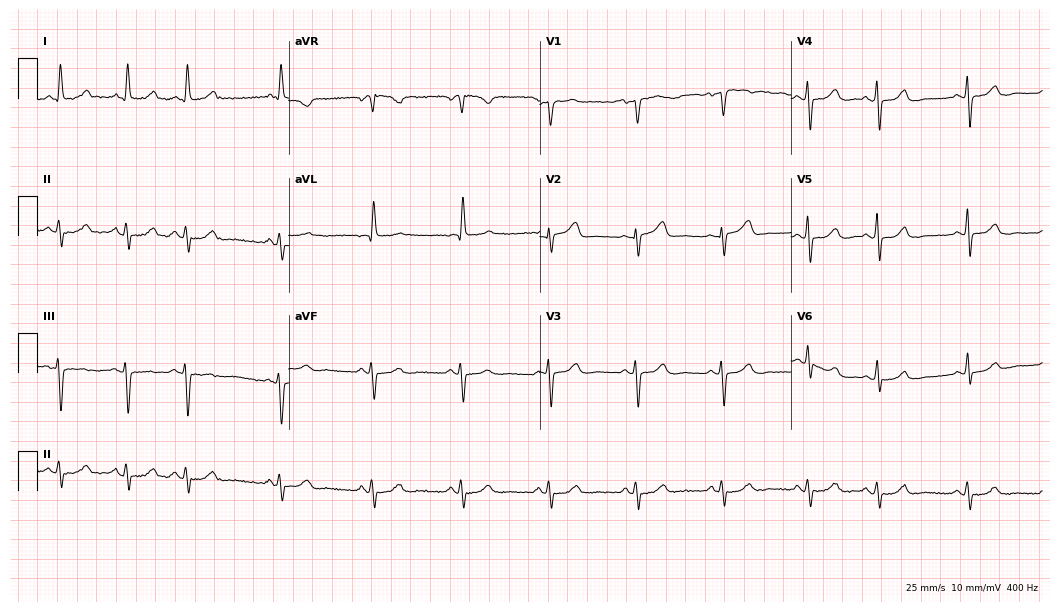
12-lead ECG (10.2-second recording at 400 Hz) from a 72-year-old female. Screened for six findings — first-degree AV block, right bundle branch block (RBBB), left bundle branch block (LBBB), sinus bradycardia, atrial fibrillation (AF), sinus tachycardia — none is recorded.